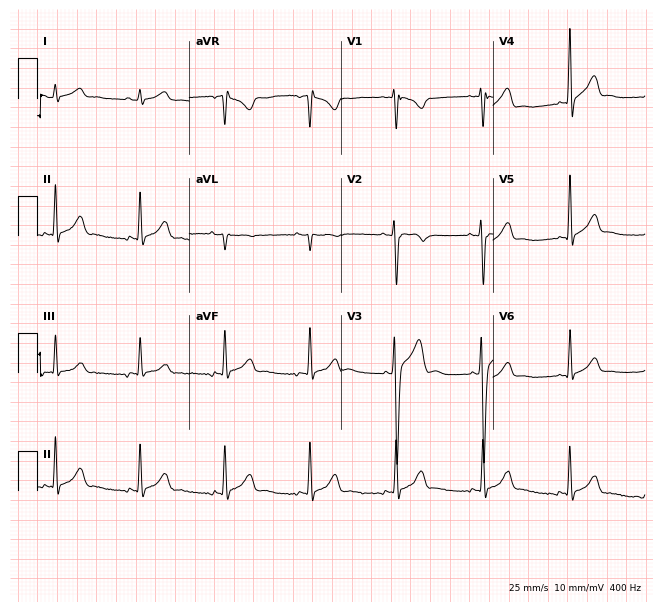
Resting 12-lead electrocardiogram (6.2-second recording at 400 Hz). Patient: a 25-year-old man. Read as a normal ECG.